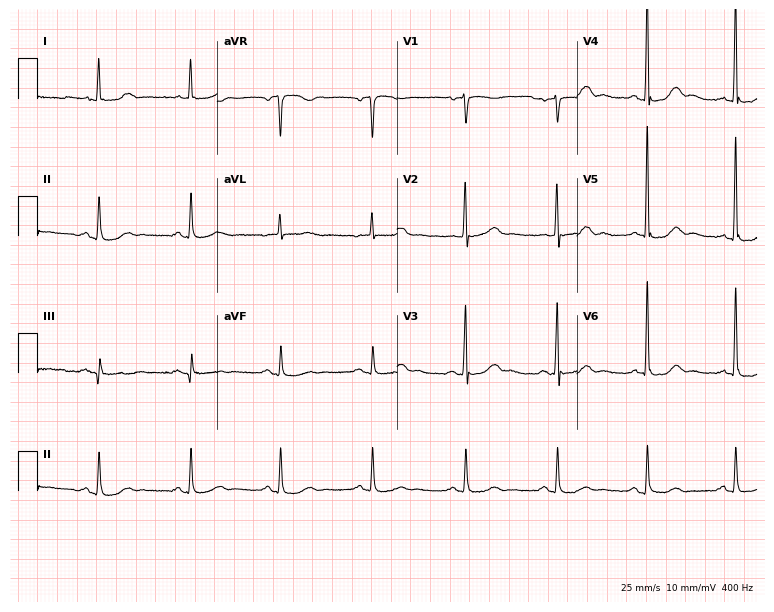
12-lead ECG from a female, 73 years old. Labelled as a normal ECG.